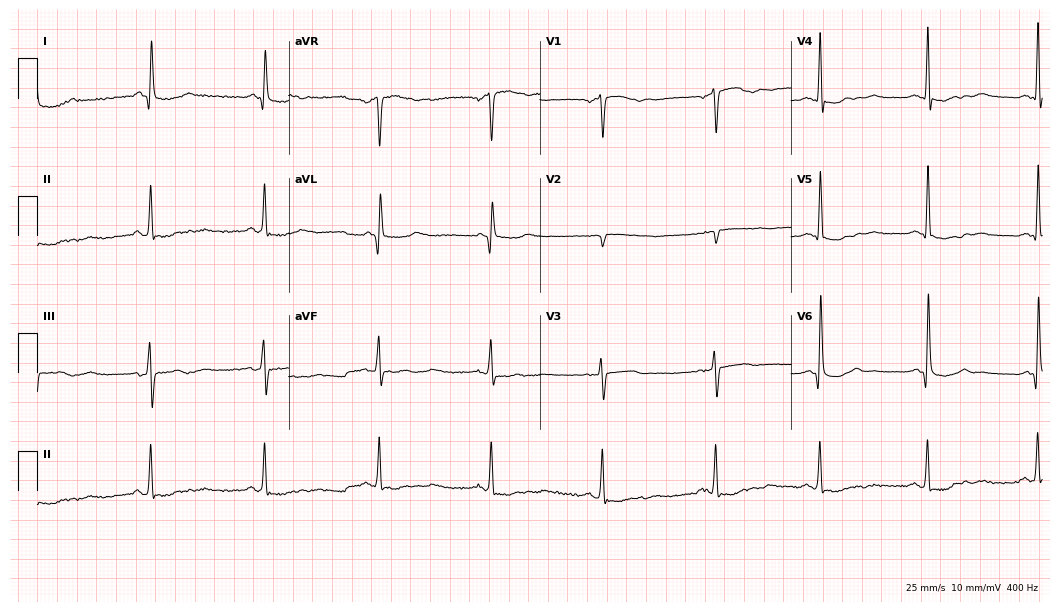
Resting 12-lead electrocardiogram. Patient: a 63-year-old female. None of these six findings is recorded: first-degree AV block, right bundle branch block, left bundle branch block, sinus bradycardia, atrial fibrillation, sinus tachycardia. Other findings, if any, are not listed.